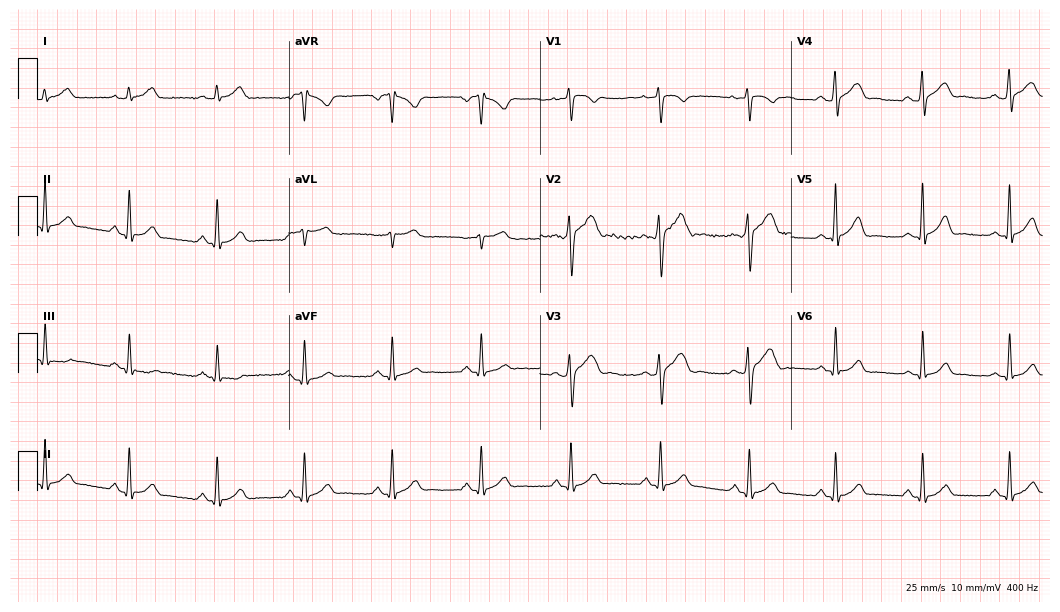
Standard 12-lead ECG recorded from a 36-year-old man. Read as a normal ECG.